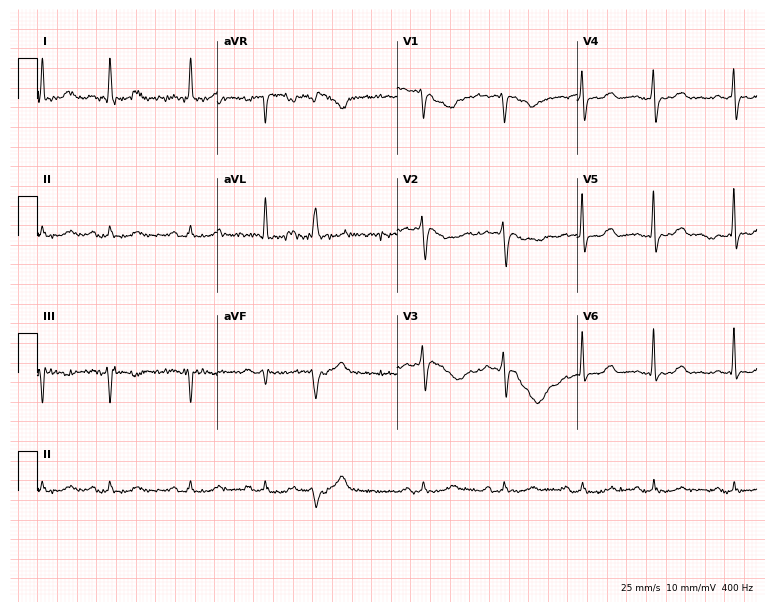
12-lead ECG from an 84-year-old man. Recorded interpretation: within normal limits.